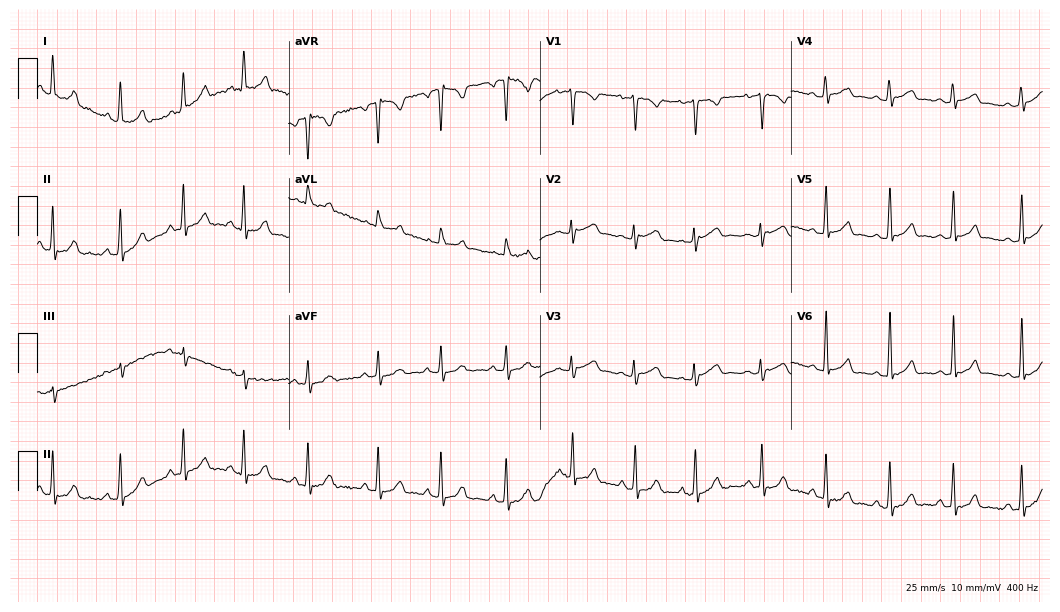
12-lead ECG from a woman, 24 years old (10.2-second recording at 400 Hz). Recorded interpretation: within normal limits.